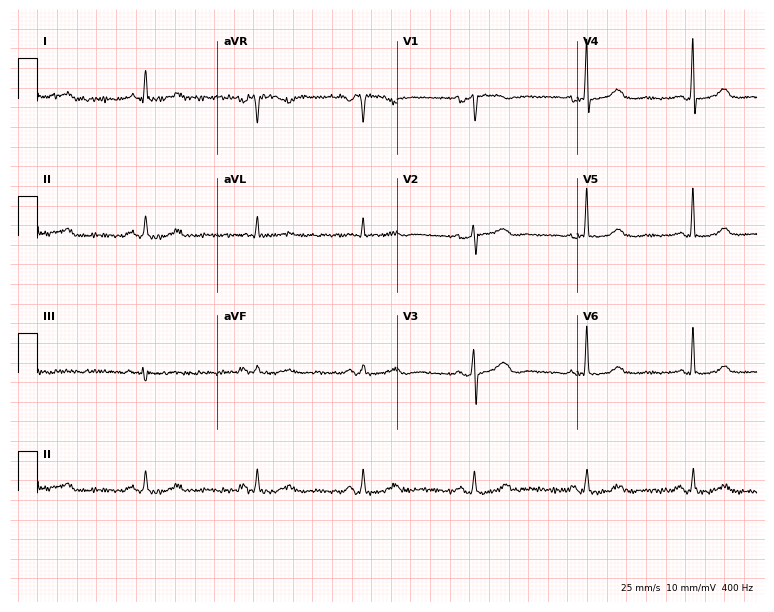
Electrocardiogram (7.3-second recording at 400 Hz), a 56-year-old female. Overall reading on record: normal ECG.